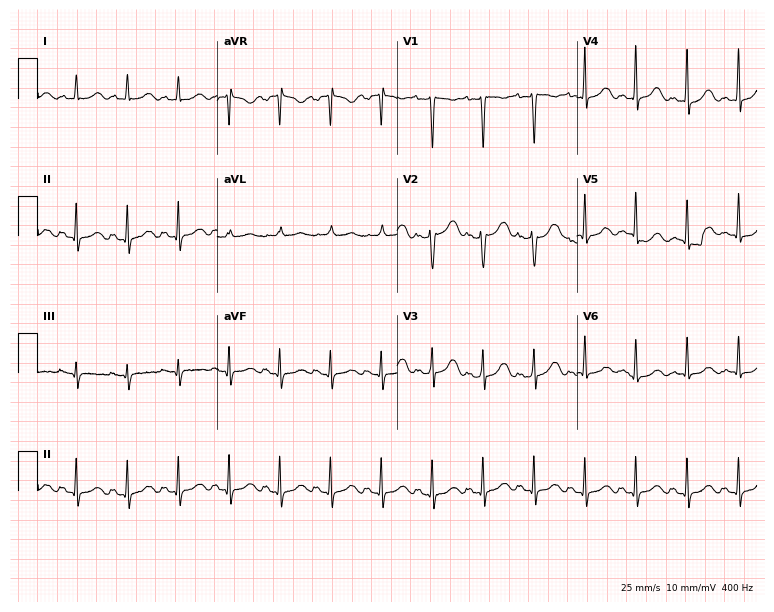
Standard 12-lead ECG recorded from a 45-year-old woman. The tracing shows sinus tachycardia (a sinus rate of 100 beats per minute or more).